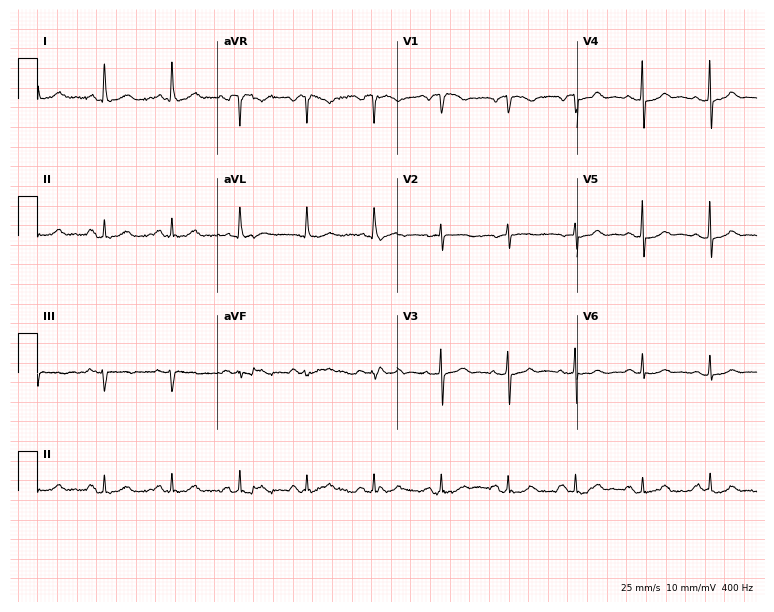
12-lead ECG (7.3-second recording at 400 Hz) from a female patient, 78 years old. Labelled as a normal ECG.